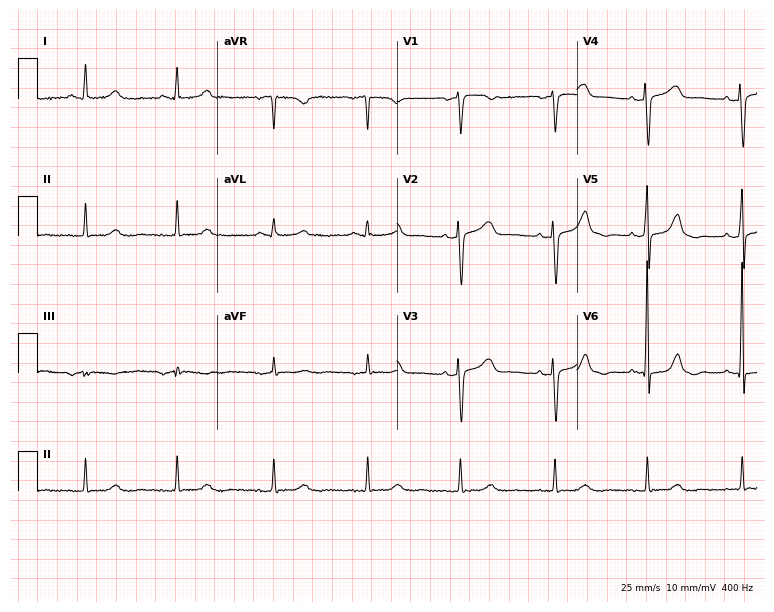
12-lead ECG from a female patient, 61 years old. Screened for six findings — first-degree AV block, right bundle branch block, left bundle branch block, sinus bradycardia, atrial fibrillation, sinus tachycardia — none is recorded.